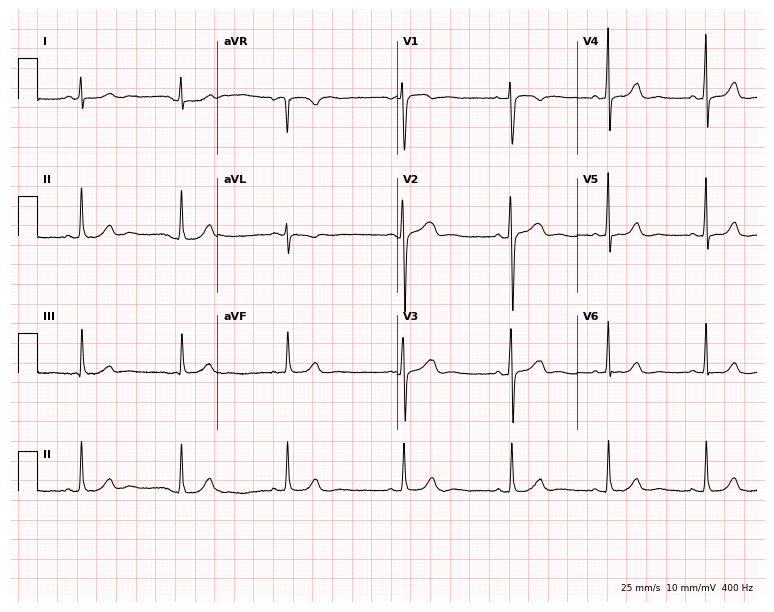
12-lead ECG (7.3-second recording at 400 Hz) from a woman, 37 years old. Labelled as a normal ECG.